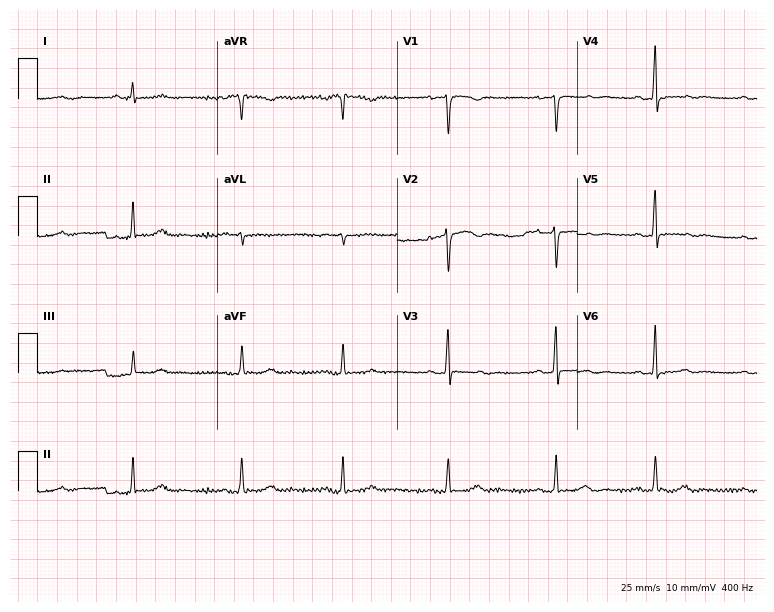
12-lead ECG (7.3-second recording at 400 Hz) from a 42-year-old female. Screened for six findings — first-degree AV block, right bundle branch block, left bundle branch block, sinus bradycardia, atrial fibrillation, sinus tachycardia — none is recorded. Findings outside these six are not listed.